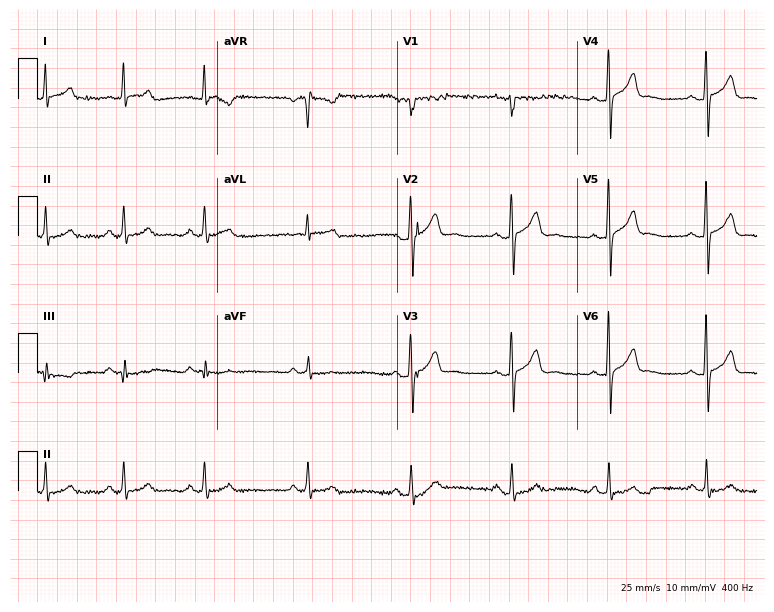
ECG — a 30-year-old male. Labelled as a normal ECG.